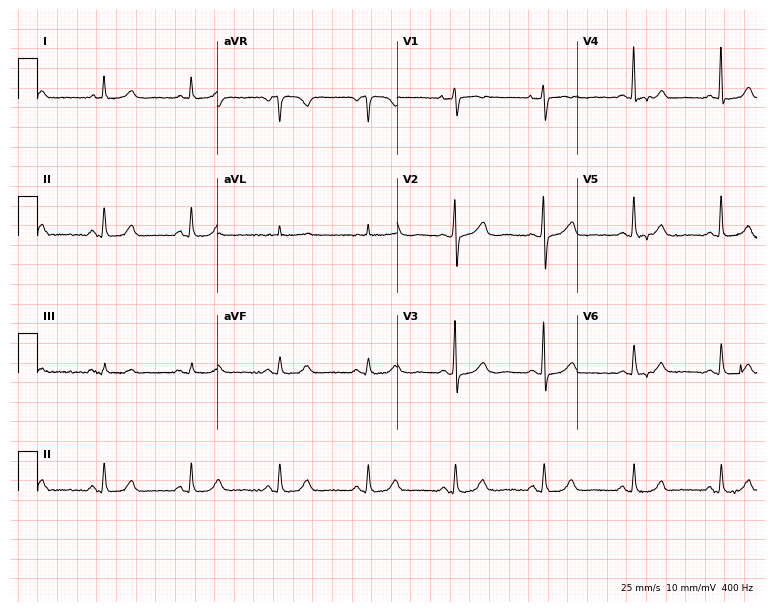
Electrocardiogram (7.3-second recording at 400 Hz), a woman, 80 years old. Of the six screened findings (first-degree AV block, right bundle branch block, left bundle branch block, sinus bradycardia, atrial fibrillation, sinus tachycardia), none is recorded.